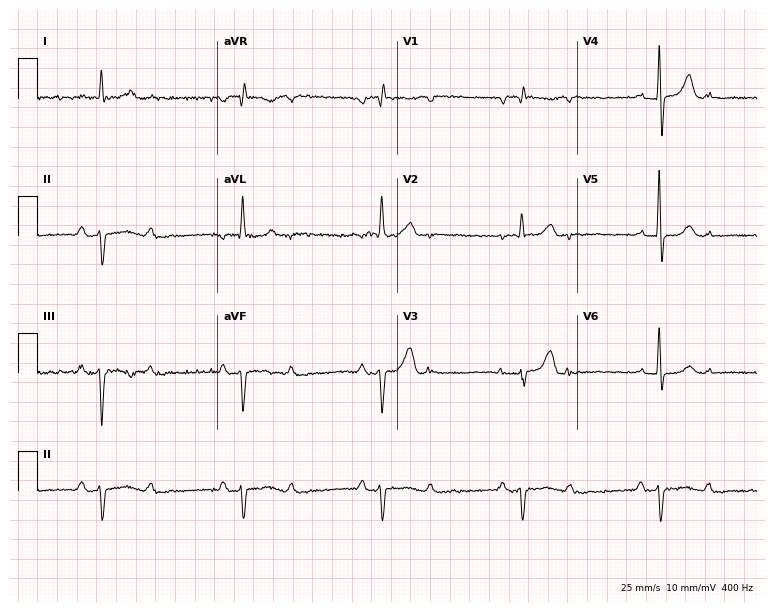
12-lead ECG from a male, 83 years old. Screened for six findings — first-degree AV block, right bundle branch block (RBBB), left bundle branch block (LBBB), sinus bradycardia, atrial fibrillation (AF), sinus tachycardia — none is recorded.